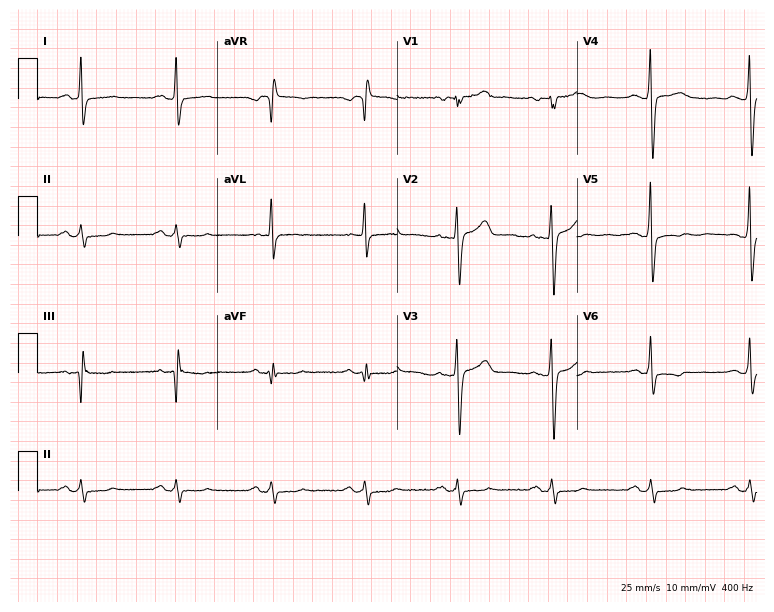
Electrocardiogram, a 47-year-old man. Of the six screened findings (first-degree AV block, right bundle branch block, left bundle branch block, sinus bradycardia, atrial fibrillation, sinus tachycardia), none is recorded.